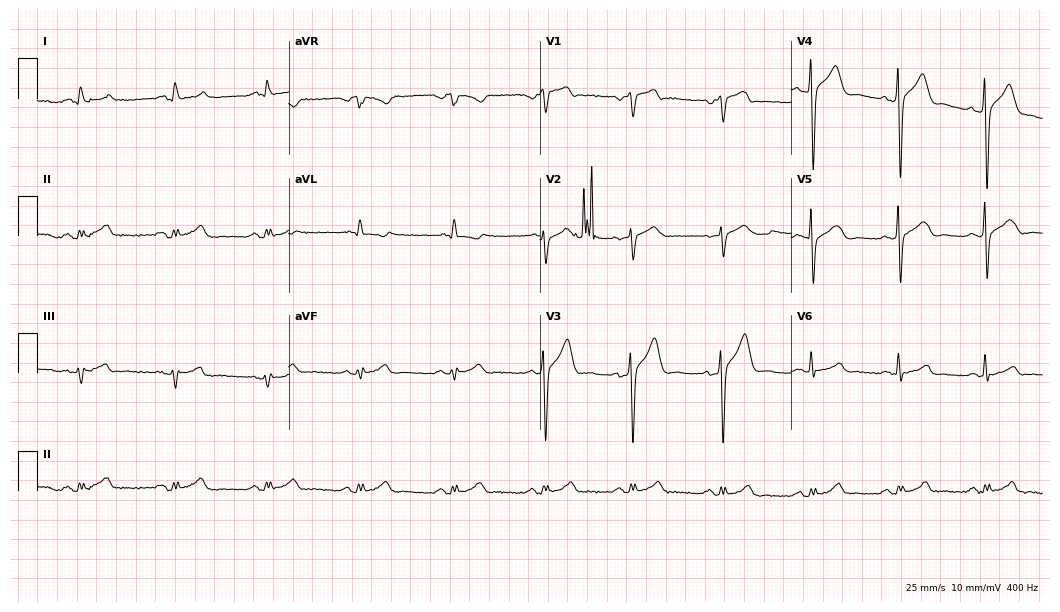
Standard 12-lead ECG recorded from a 51-year-old male patient (10.2-second recording at 400 Hz). None of these six findings is recorded: first-degree AV block, right bundle branch block (RBBB), left bundle branch block (LBBB), sinus bradycardia, atrial fibrillation (AF), sinus tachycardia. Findings outside these six are not listed.